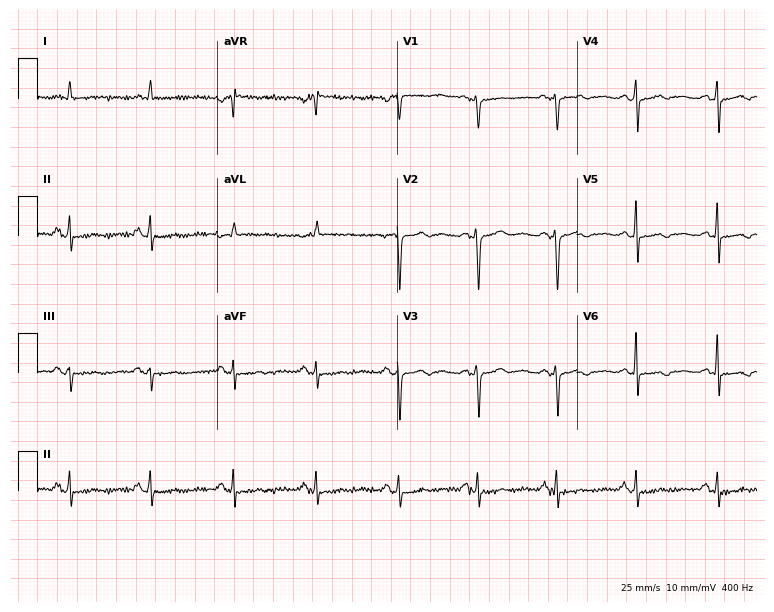
Resting 12-lead electrocardiogram (7.3-second recording at 400 Hz). Patient: a female, 54 years old. None of these six findings is recorded: first-degree AV block, right bundle branch block, left bundle branch block, sinus bradycardia, atrial fibrillation, sinus tachycardia. Findings outside these six are not listed.